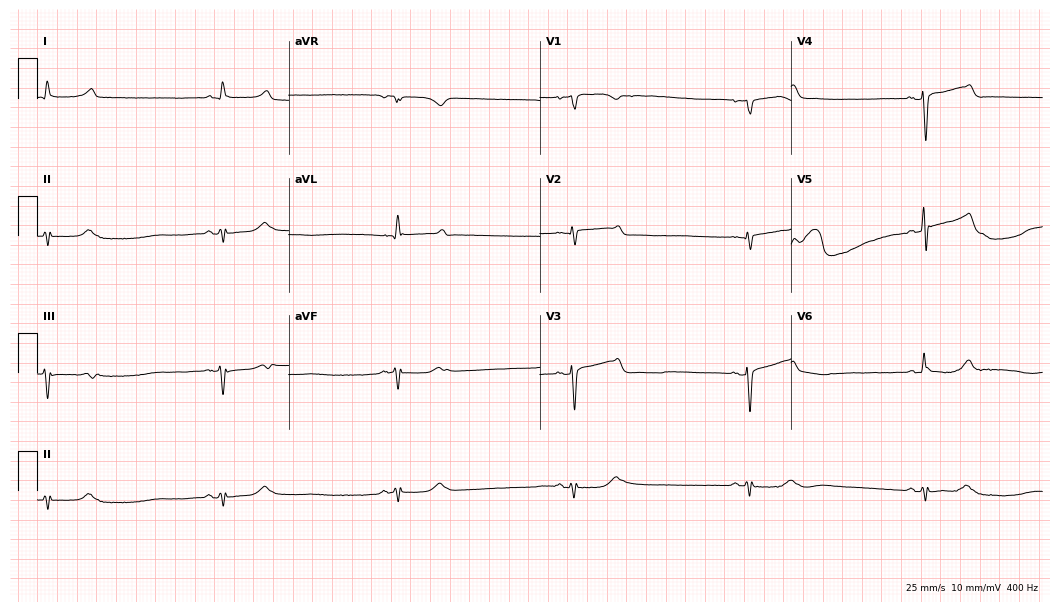
12-lead ECG from a female, 85 years old (10.2-second recording at 400 Hz). Shows sinus bradycardia (a sinus rate of 50 beats per minute or less).